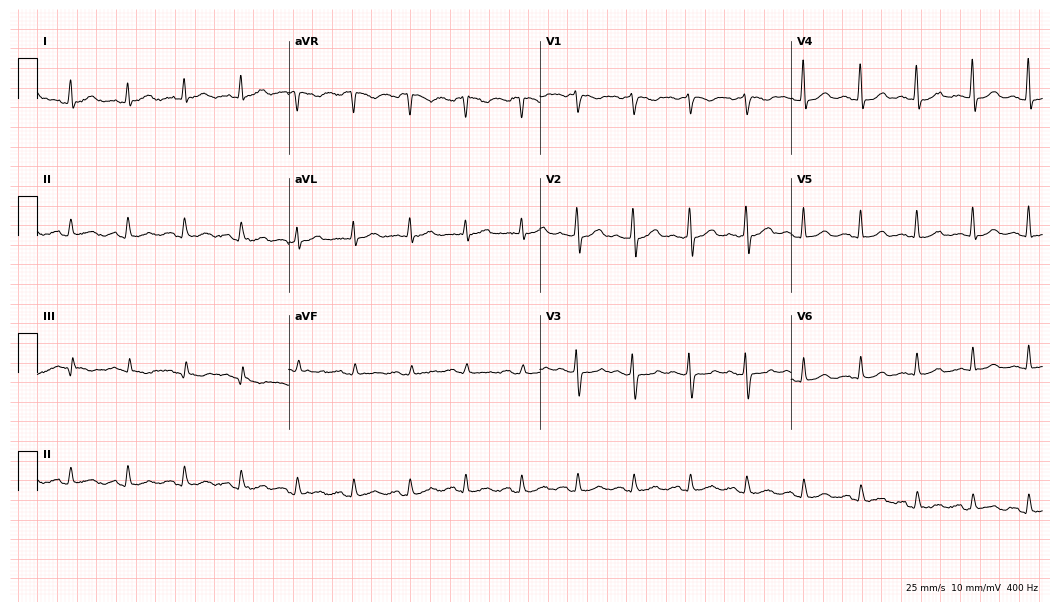
12-lead ECG from a female, 39 years old (10.2-second recording at 400 Hz). Shows sinus tachycardia (a sinus rate of 100 beats per minute or more).